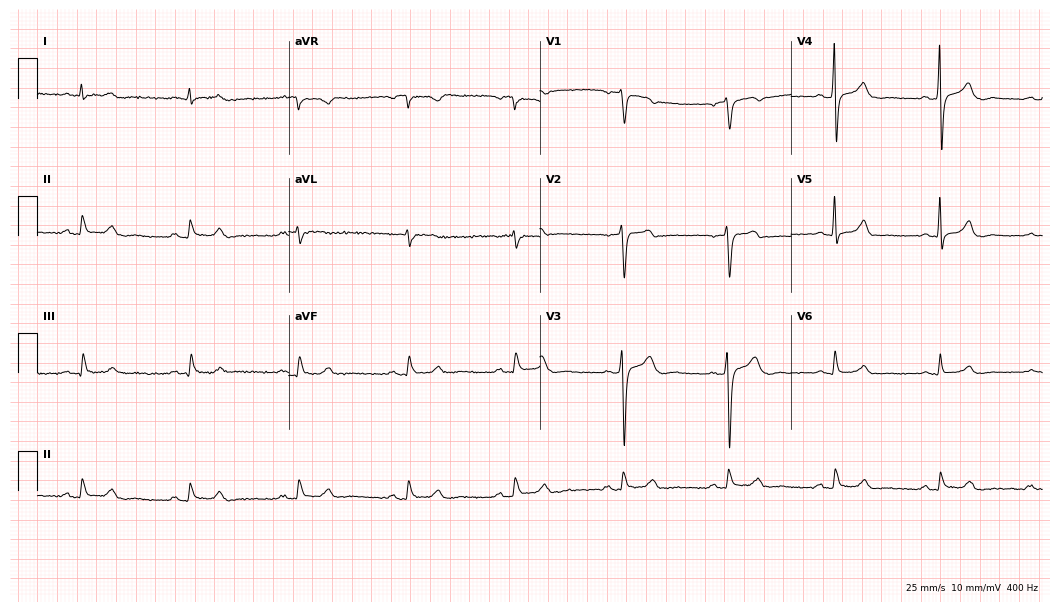
ECG (10.2-second recording at 400 Hz) — a 62-year-old male. Labelled as a normal ECG.